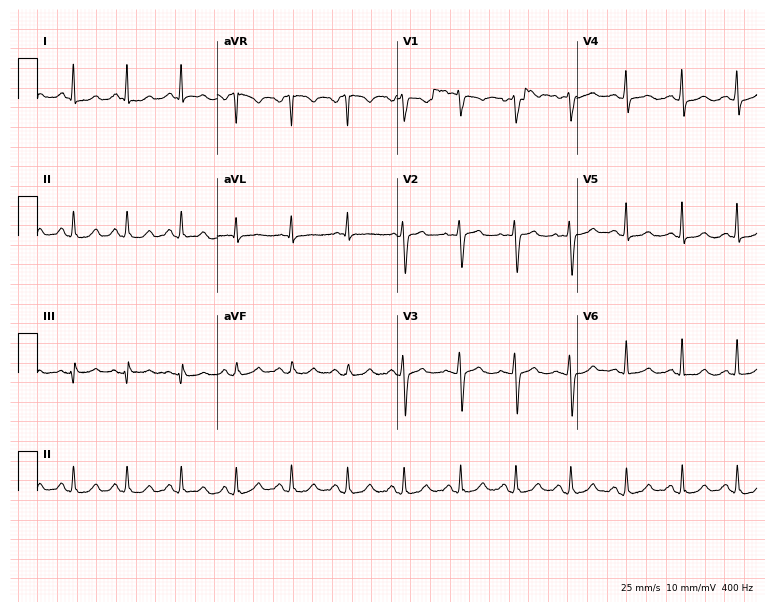
12-lead ECG from a female patient, 40 years old. Findings include sinus tachycardia (a sinus rate of 100 beats per minute or more).